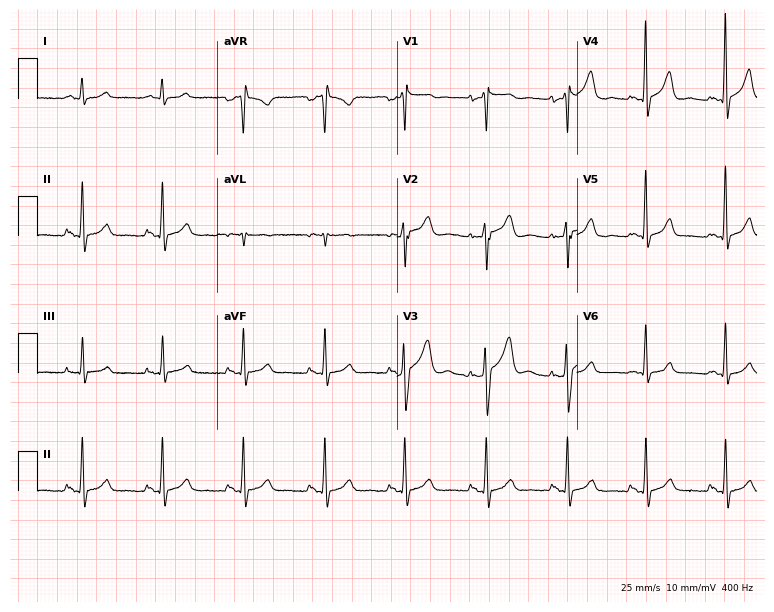
ECG — a 58-year-old male. Screened for six findings — first-degree AV block, right bundle branch block, left bundle branch block, sinus bradycardia, atrial fibrillation, sinus tachycardia — none is recorded. Other findings, if any, are not listed.